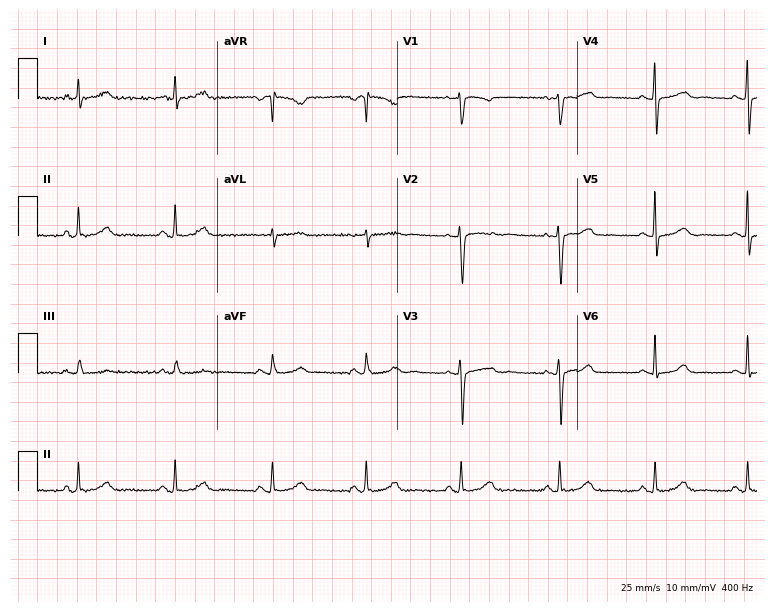
ECG (7.3-second recording at 400 Hz) — a 45-year-old female patient. Labelled as a normal ECG.